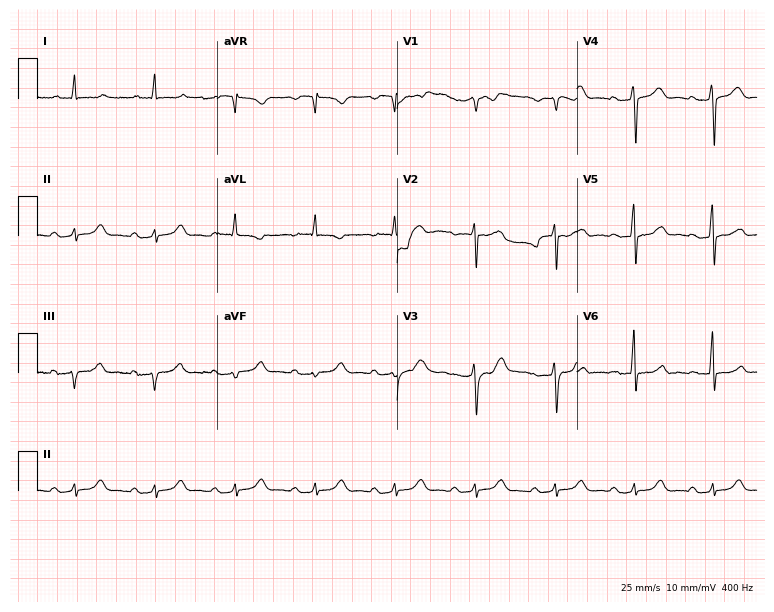
Resting 12-lead electrocardiogram. Patient: an 82-year-old male. None of these six findings is recorded: first-degree AV block, right bundle branch block, left bundle branch block, sinus bradycardia, atrial fibrillation, sinus tachycardia.